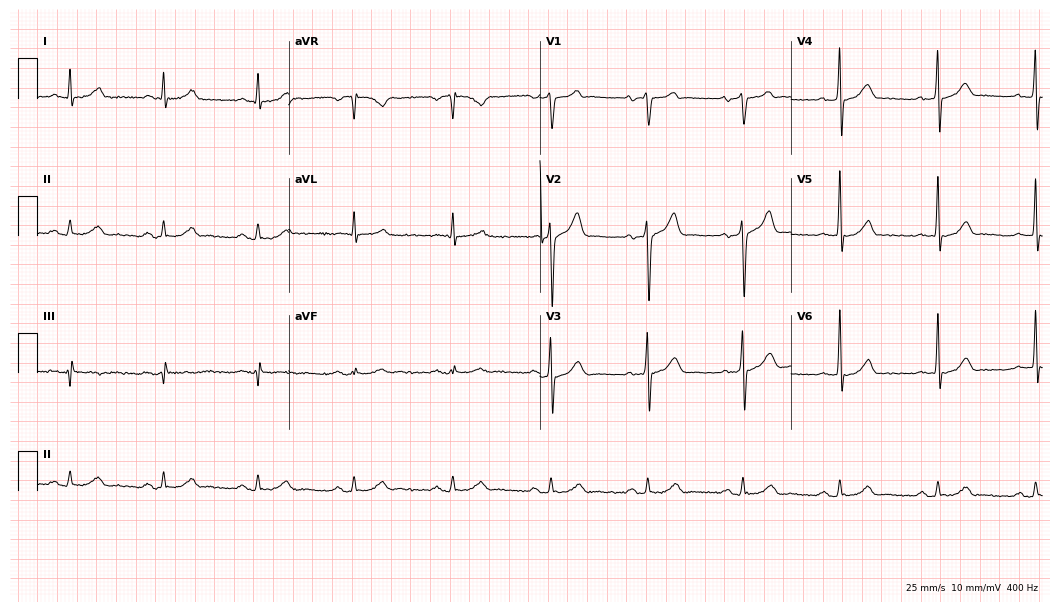
Resting 12-lead electrocardiogram (10.2-second recording at 400 Hz). Patient: a male, 50 years old. None of these six findings is recorded: first-degree AV block, right bundle branch block, left bundle branch block, sinus bradycardia, atrial fibrillation, sinus tachycardia.